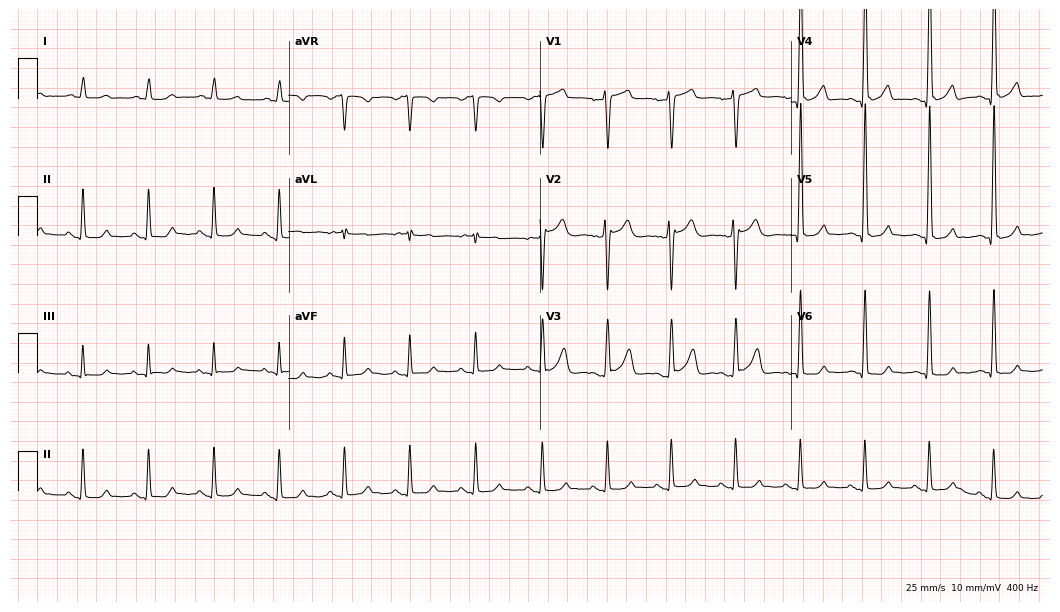
Resting 12-lead electrocardiogram. Patient: a male, 39 years old. None of these six findings is recorded: first-degree AV block, right bundle branch block, left bundle branch block, sinus bradycardia, atrial fibrillation, sinus tachycardia.